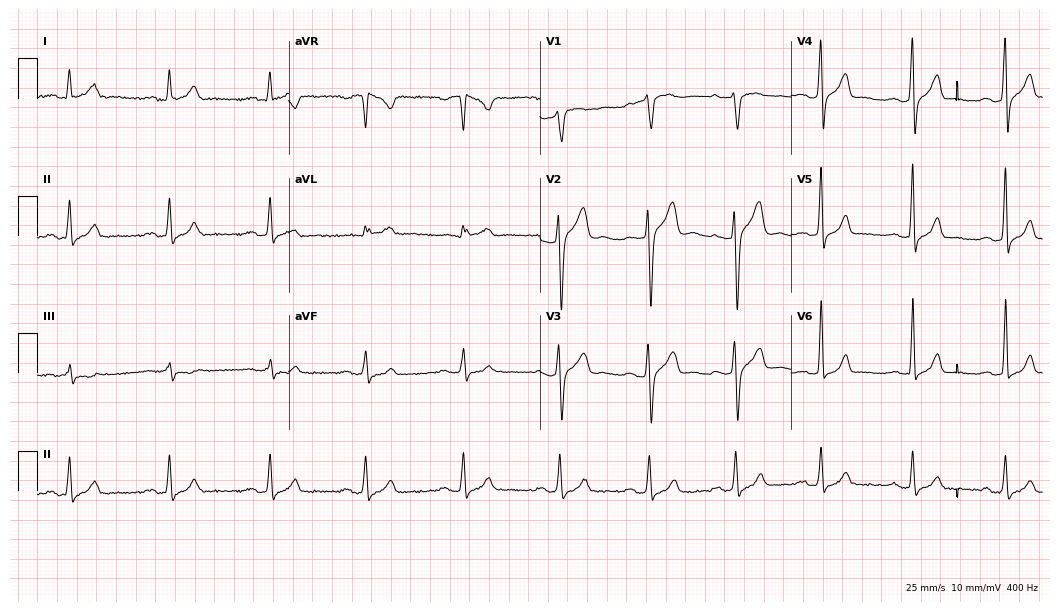
Resting 12-lead electrocardiogram (10.2-second recording at 400 Hz). Patient: a male, 29 years old. None of these six findings is recorded: first-degree AV block, right bundle branch block, left bundle branch block, sinus bradycardia, atrial fibrillation, sinus tachycardia.